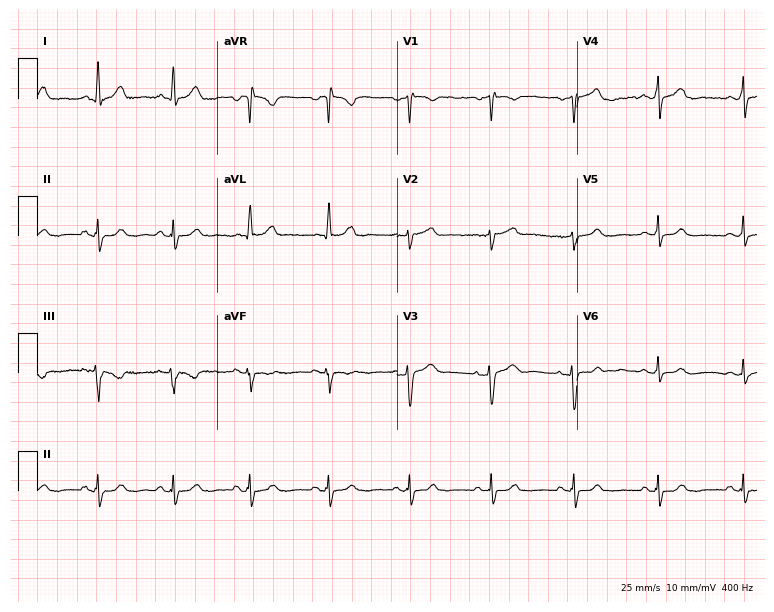
12-lead ECG (7.3-second recording at 400 Hz) from a 59-year-old woman. Labelled as a normal ECG.